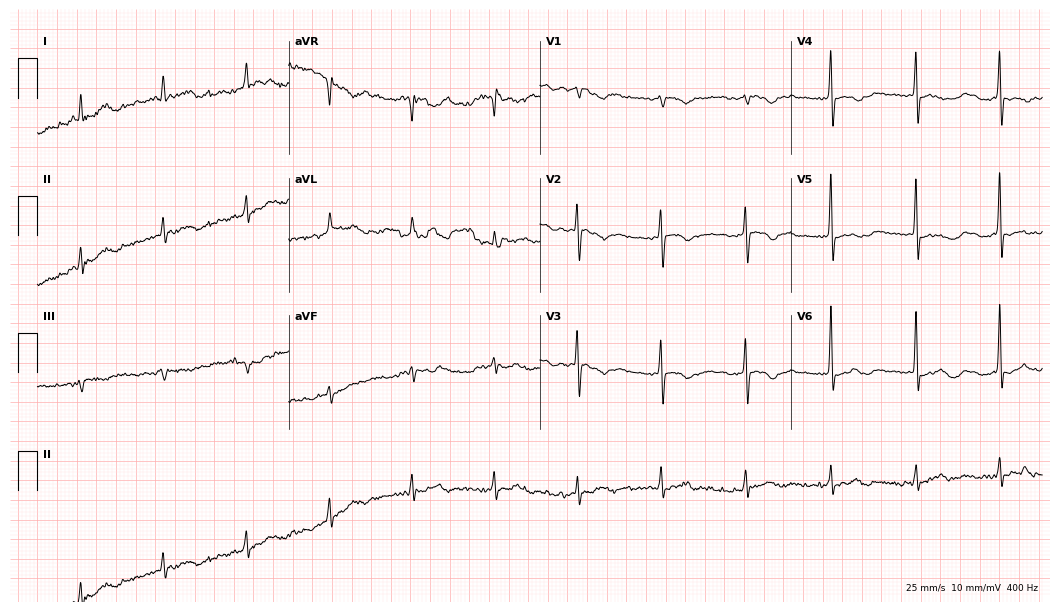
Resting 12-lead electrocardiogram (10.2-second recording at 400 Hz). Patient: a 75-year-old female. None of these six findings is recorded: first-degree AV block, right bundle branch block, left bundle branch block, sinus bradycardia, atrial fibrillation, sinus tachycardia.